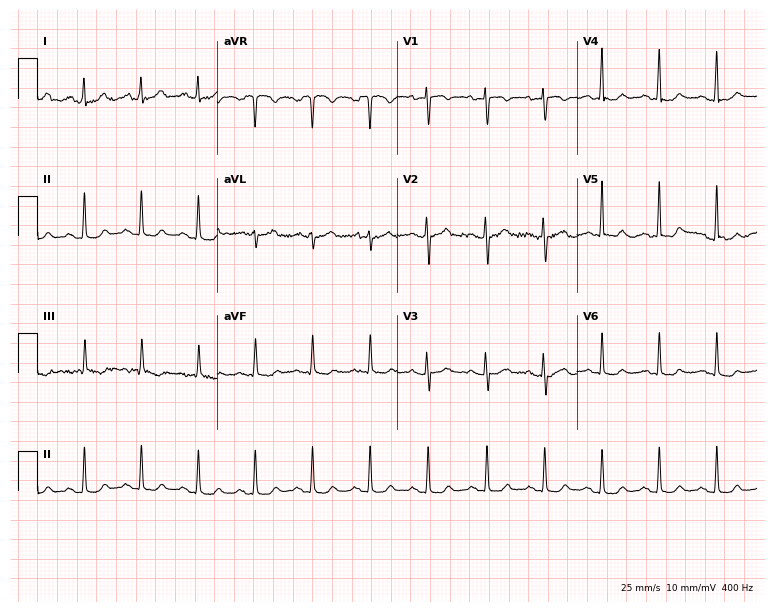
Standard 12-lead ECG recorded from a 31-year-old woman (7.3-second recording at 400 Hz). The tracing shows sinus tachycardia (a sinus rate of 100 beats per minute or more).